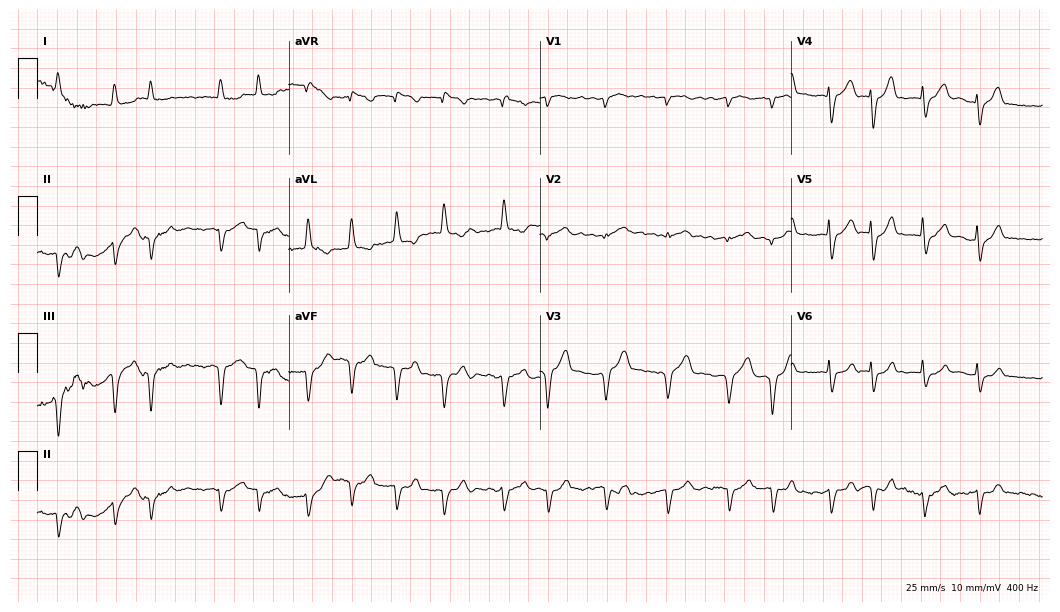
12-lead ECG from a male, 89 years old. Findings include atrial fibrillation.